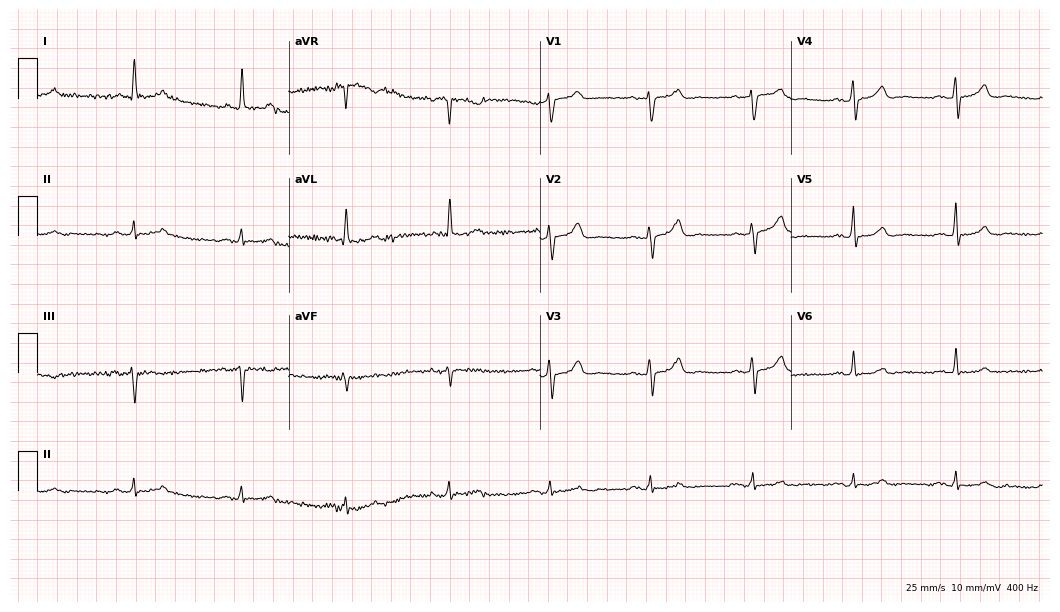
Electrocardiogram, a male, 81 years old. Of the six screened findings (first-degree AV block, right bundle branch block, left bundle branch block, sinus bradycardia, atrial fibrillation, sinus tachycardia), none is recorded.